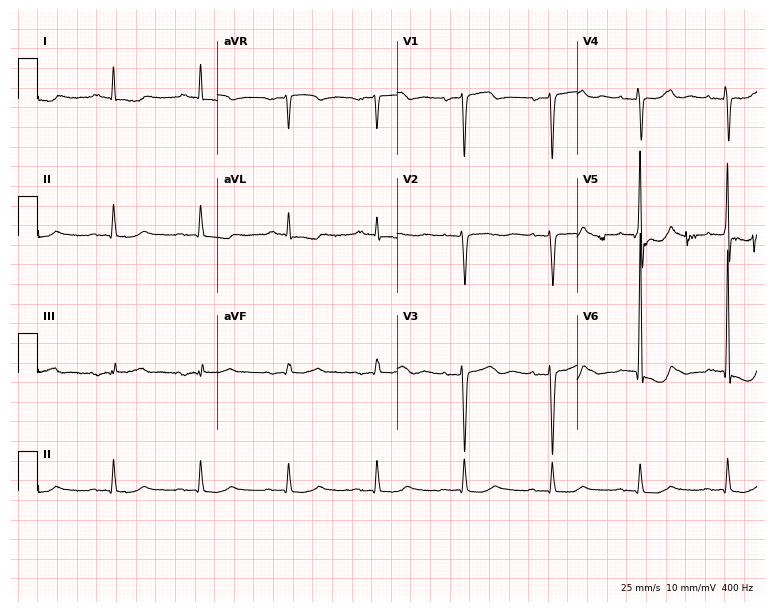
ECG — a male patient, 75 years old. Screened for six findings — first-degree AV block, right bundle branch block, left bundle branch block, sinus bradycardia, atrial fibrillation, sinus tachycardia — none is recorded.